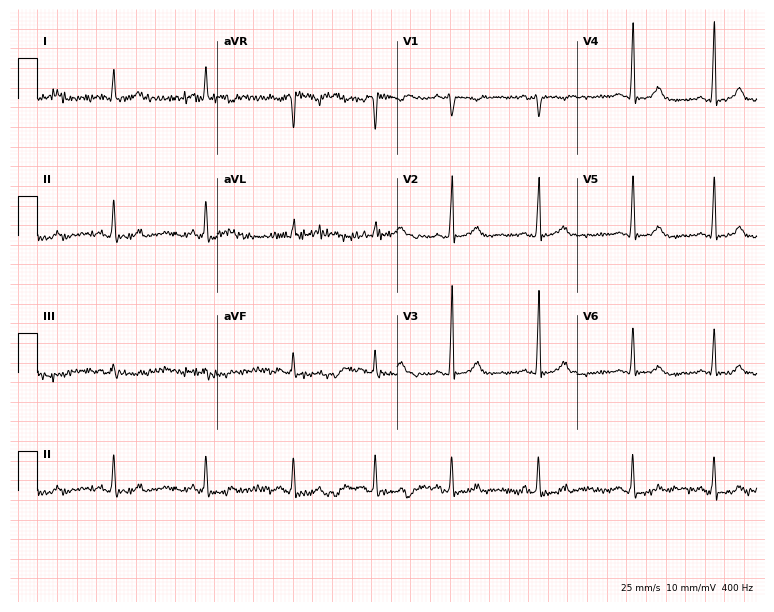
Electrocardiogram (7.3-second recording at 400 Hz), a female patient, 31 years old. Of the six screened findings (first-degree AV block, right bundle branch block, left bundle branch block, sinus bradycardia, atrial fibrillation, sinus tachycardia), none is recorded.